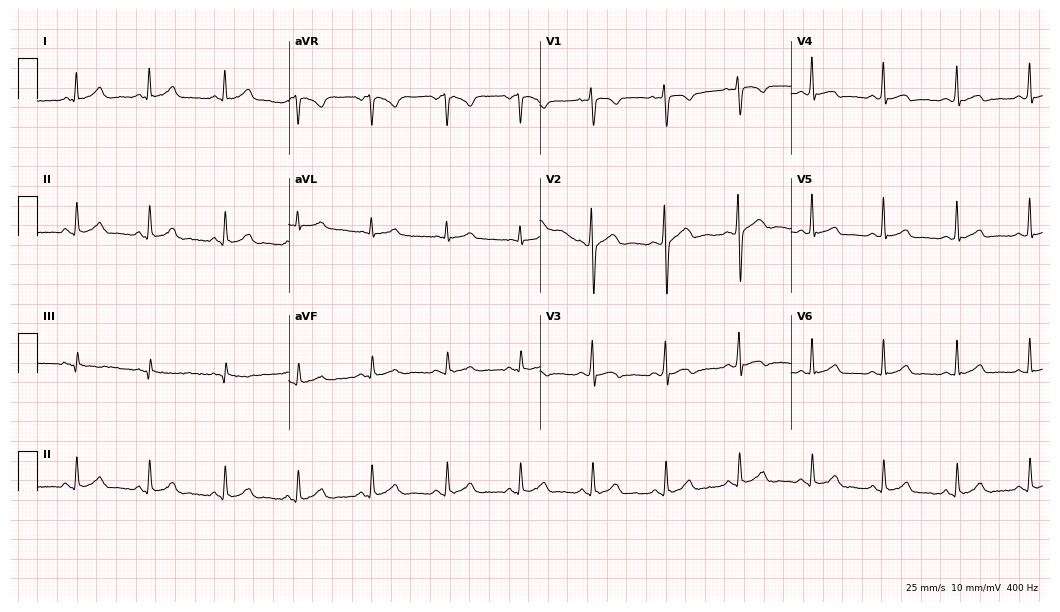
12-lead ECG from a man, 18 years old (10.2-second recording at 400 Hz). Recorded interpretation: within normal limits.